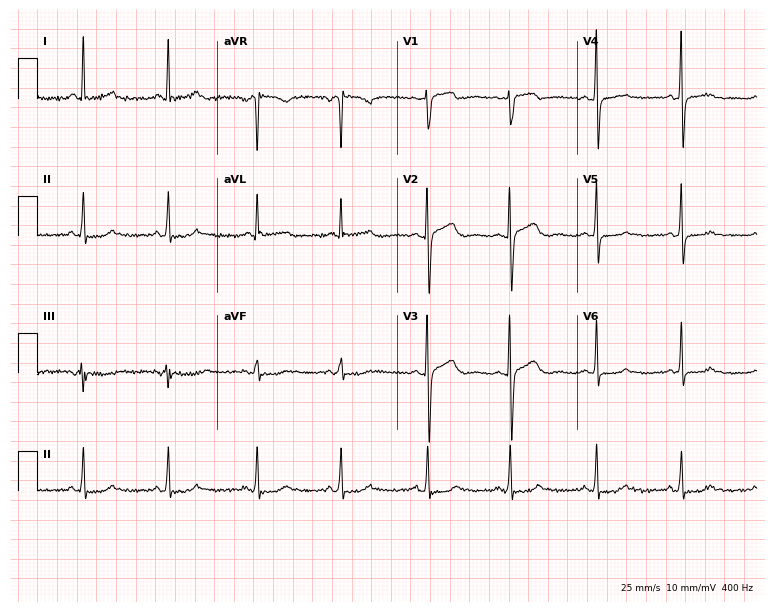
ECG — a 33-year-old female. Screened for six findings — first-degree AV block, right bundle branch block, left bundle branch block, sinus bradycardia, atrial fibrillation, sinus tachycardia — none is recorded. Findings outside these six are not listed.